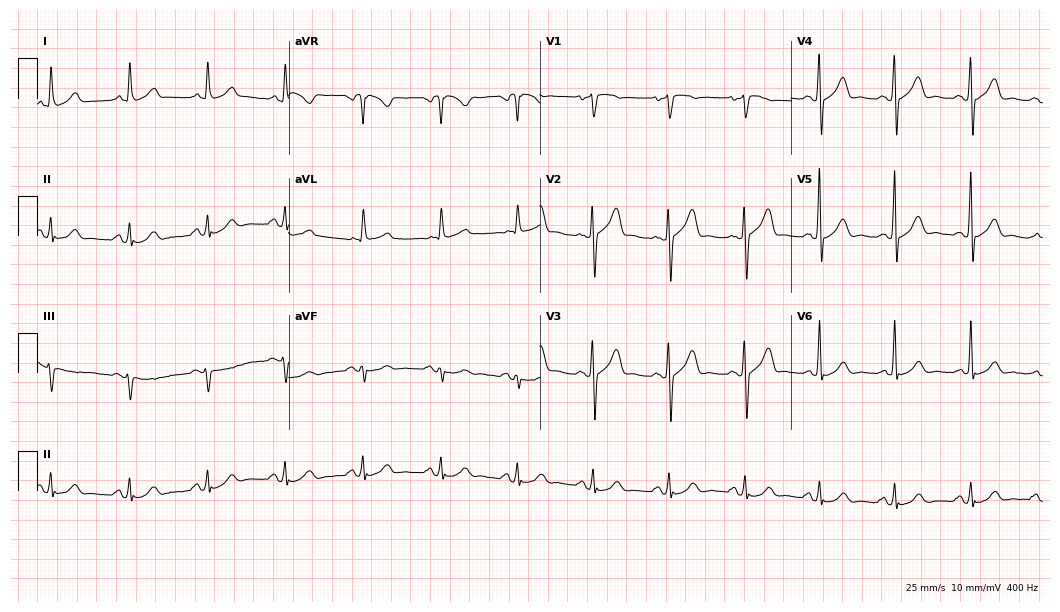
ECG — a male, 57 years old. Labelled as a normal ECG.